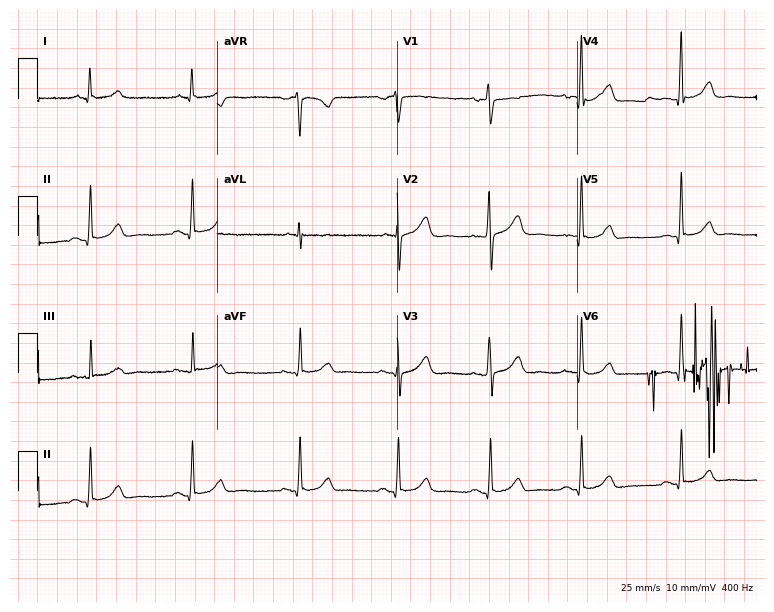
Standard 12-lead ECG recorded from a woman, 62 years old. Read as a normal ECG.